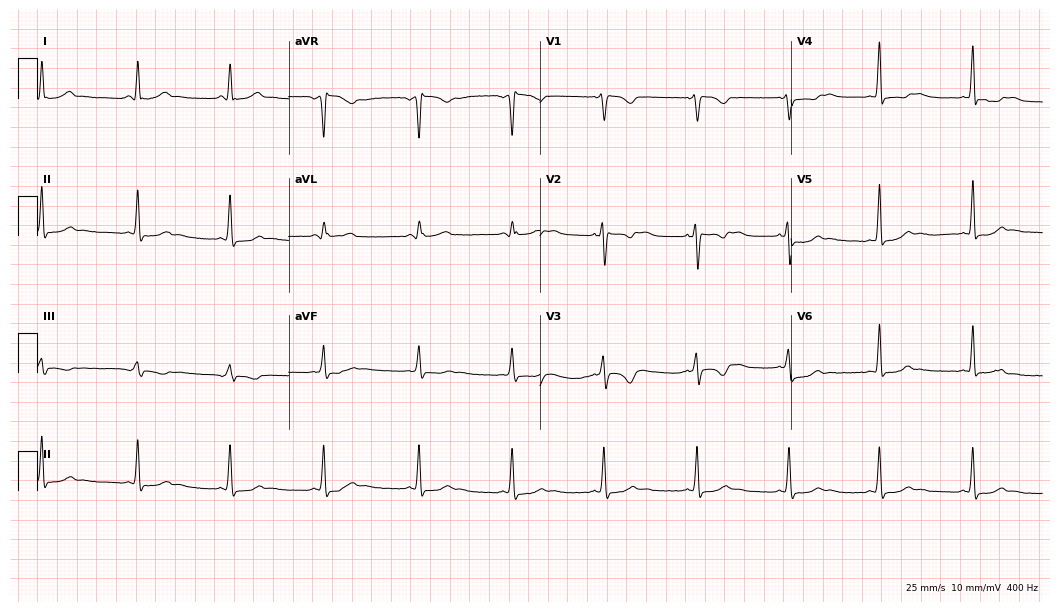
ECG (10.2-second recording at 400 Hz) — a 26-year-old female. Screened for six findings — first-degree AV block, right bundle branch block (RBBB), left bundle branch block (LBBB), sinus bradycardia, atrial fibrillation (AF), sinus tachycardia — none is recorded. Other findings, if any, are not listed.